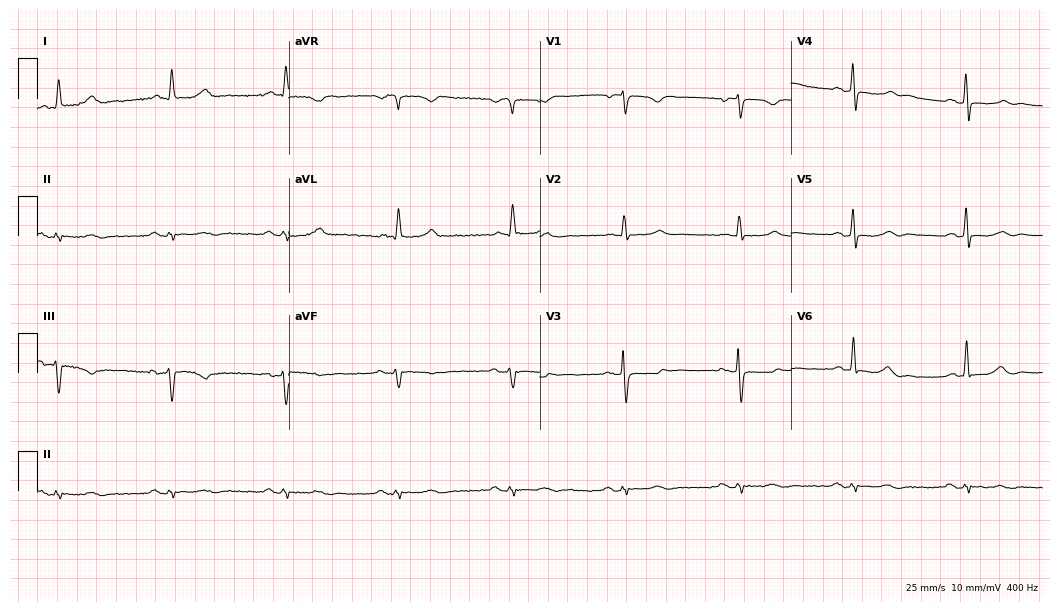
Standard 12-lead ECG recorded from a male, 73 years old. None of these six findings is recorded: first-degree AV block, right bundle branch block, left bundle branch block, sinus bradycardia, atrial fibrillation, sinus tachycardia. Only these six findings were labelled.